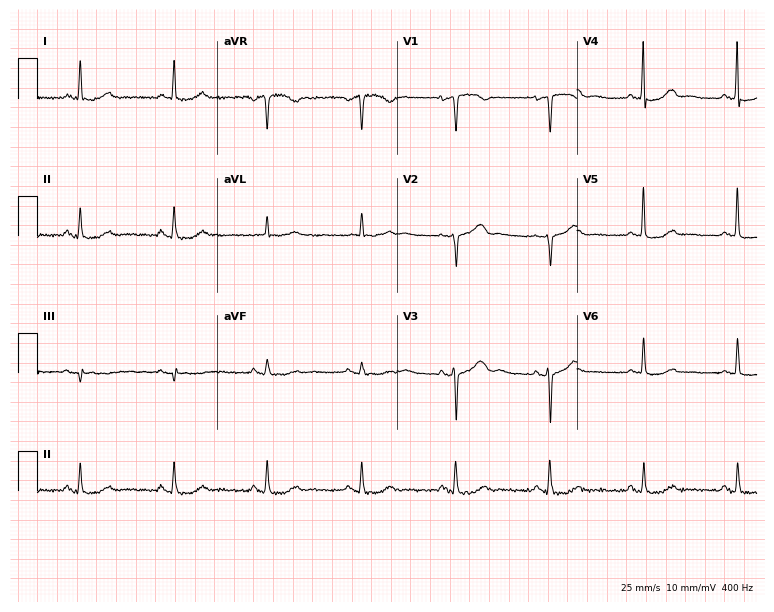
Resting 12-lead electrocardiogram. Patient: an 82-year-old woman. None of these six findings is recorded: first-degree AV block, right bundle branch block (RBBB), left bundle branch block (LBBB), sinus bradycardia, atrial fibrillation (AF), sinus tachycardia. Findings outside these six are not listed.